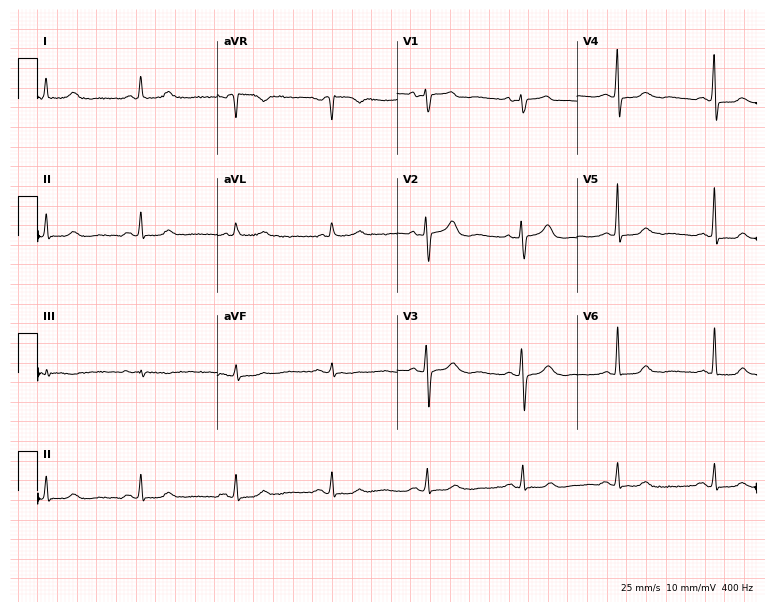
12-lead ECG (7.3-second recording at 400 Hz) from a female patient, 65 years old. Screened for six findings — first-degree AV block, right bundle branch block, left bundle branch block, sinus bradycardia, atrial fibrillation, sinus tachycardia — none is recorded. Other findings, if any, are not listed.